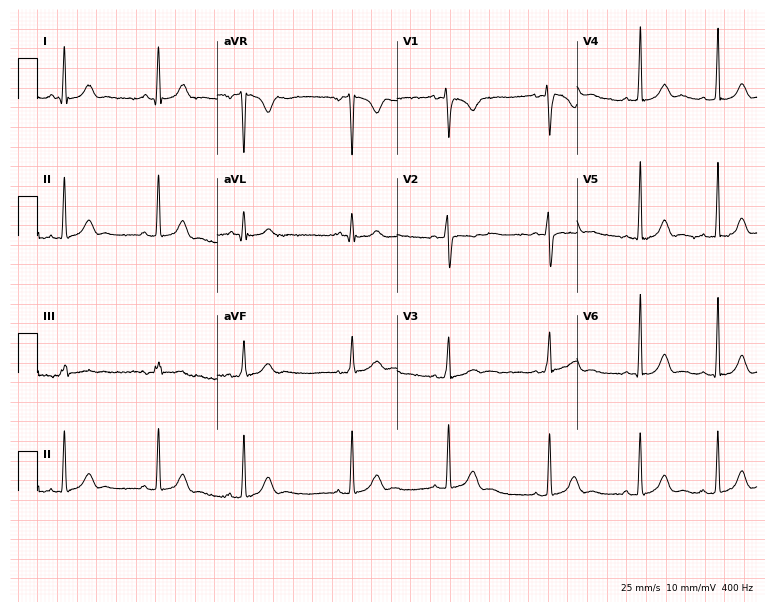
12-lead ECG (7.3-second recording at 400 Hz) from a male, 20 years old. Labelled as a normal ECG.